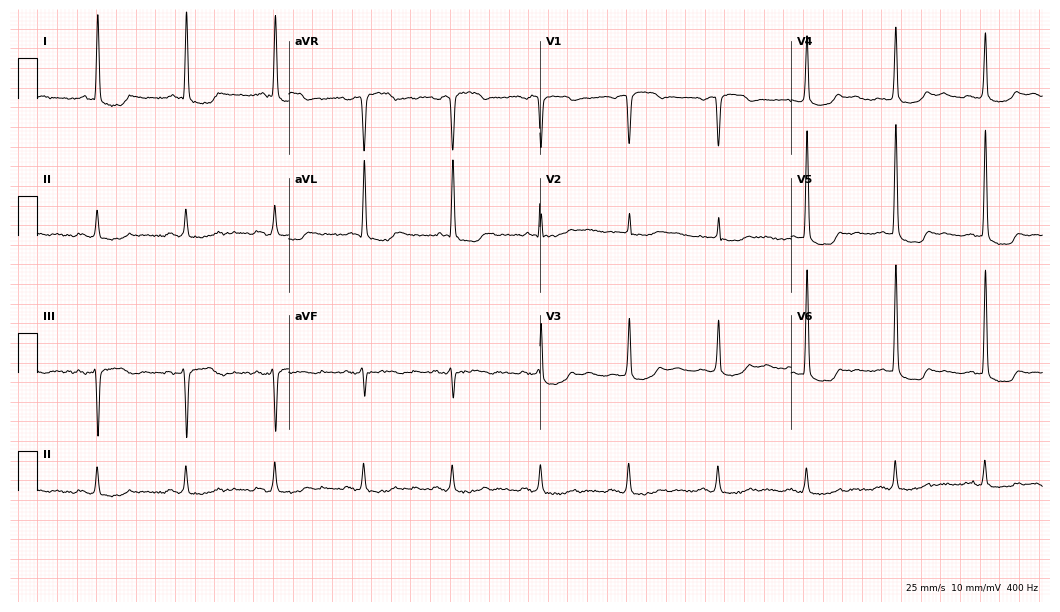
12-lead ECG from a male, 75 years old (10.2-second recording at 400 Hz). No first-degree AV block, right bundle branch block (RBBB), left bundle branch block (LBBB), sinus bradycardia, atrial fibrillation (AF) or sinus tachycardia recorded for this tracing. Only these six findings were labelled.